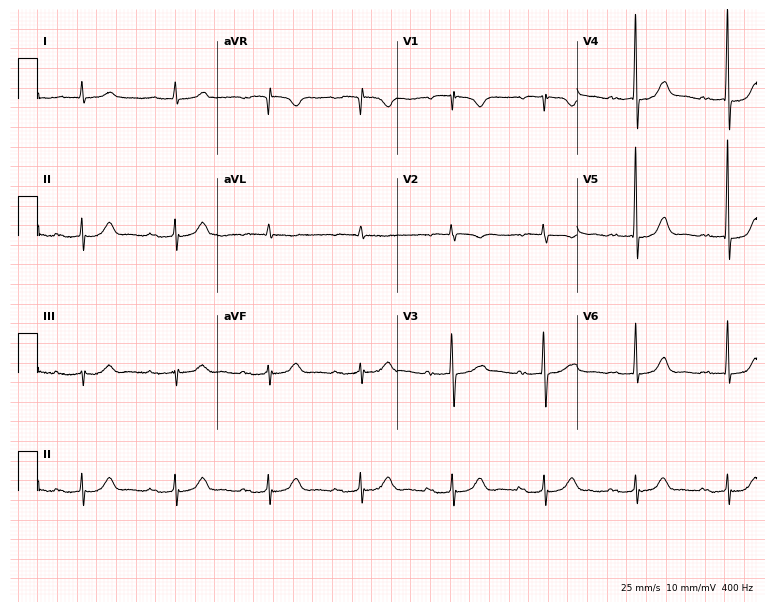
Standard 12-lead ECG recorded from an 80-year-old man (7.3-second recording at 400 Hz). The tracing shows first-degree AV block.